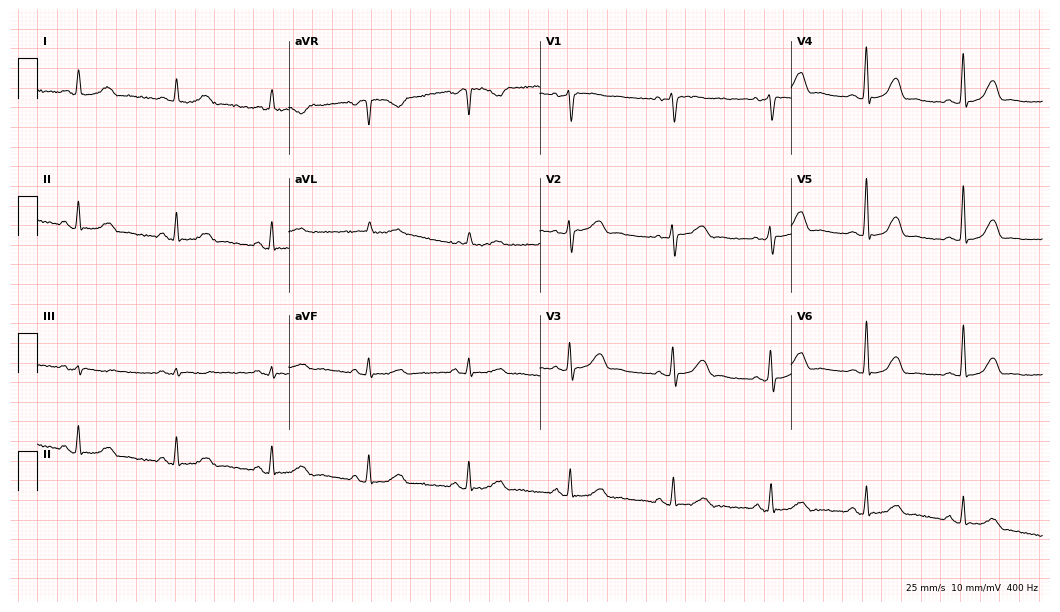
12-lead ECG from a 56-year-old female patient (10.2-second recording at 400 Hz). No first-degree AV block, right bundle branch block, left bundle branch block, sinus bradycardia, atrial fibrillation or sinus tachycardia recorded for this tracing.